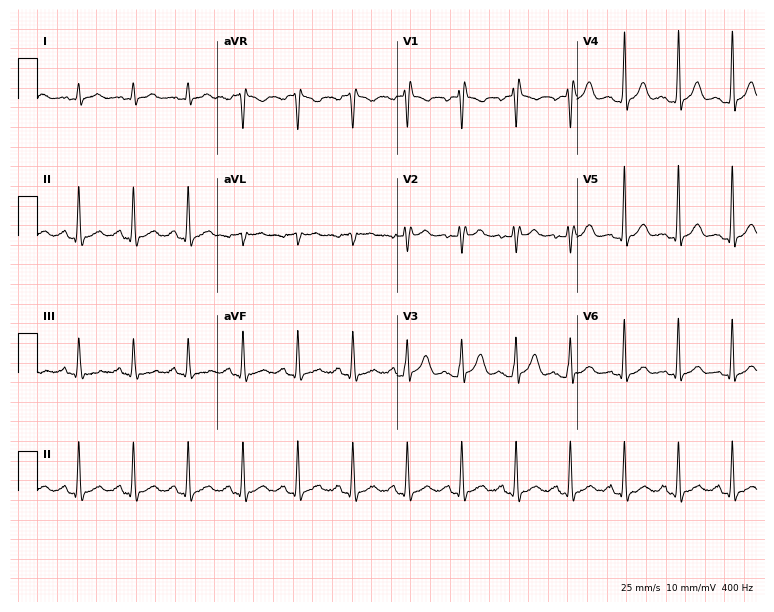
12-lead ECG from a 49-year-old woman. Findings include sinus tachycardia (a sinus rate of 100 beats per minute or more).